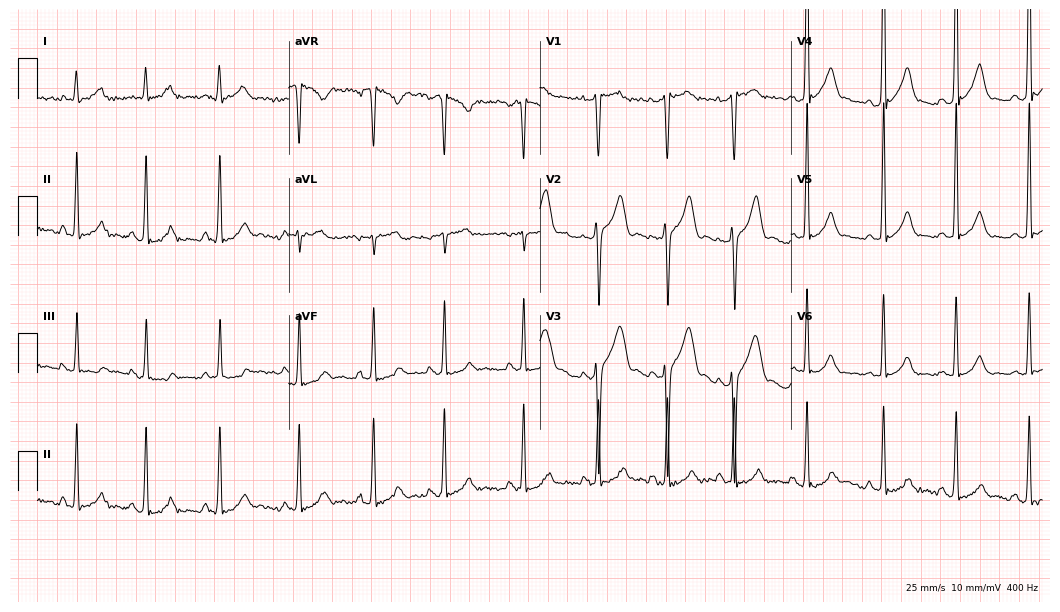
ECG — a 20-year-old male patient. Labelled as a normal ECG.